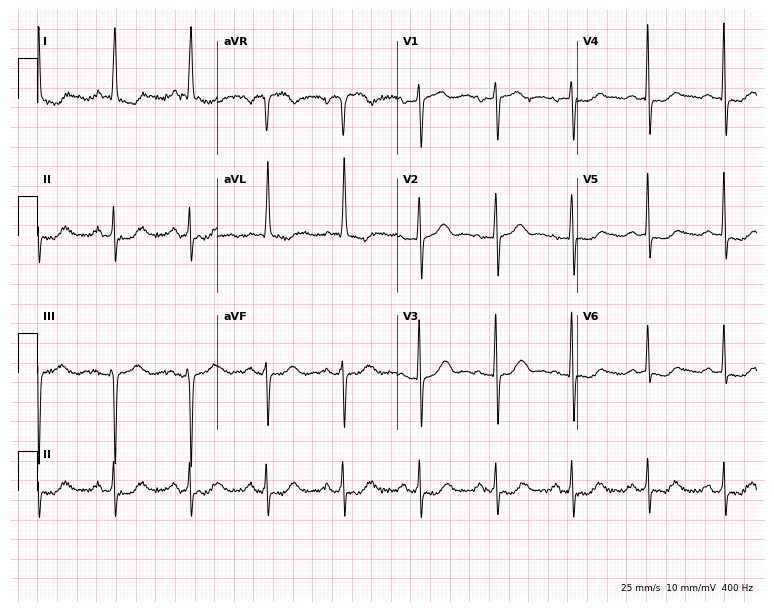
12-lead ECG from a woman, 63 years old (7.3-second recording at 400 Hz). No first-degree AV block, right bundle branch block, left bundle branch block, sinus bradycardia, atrial fibrillation or sinus tachycardia recorded for this tracing. Only these six findings were labelled.